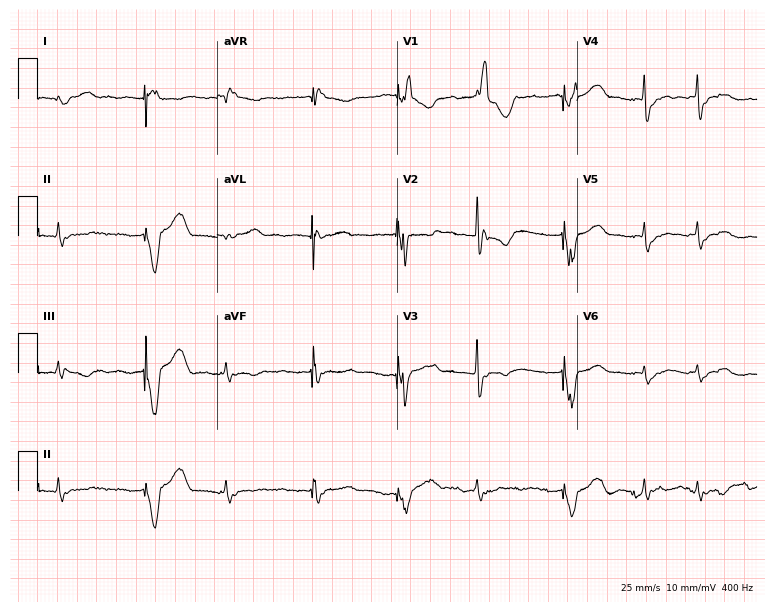
12-lead ECG from an 86-year-old female patient. Screened for six findings — first-degree AV block, right bundle branch block, left bundle branch block, sinus bradycardia, atrial fibrillation, sinus tachycardia — none is recorded. Findings outside these six are not listed.